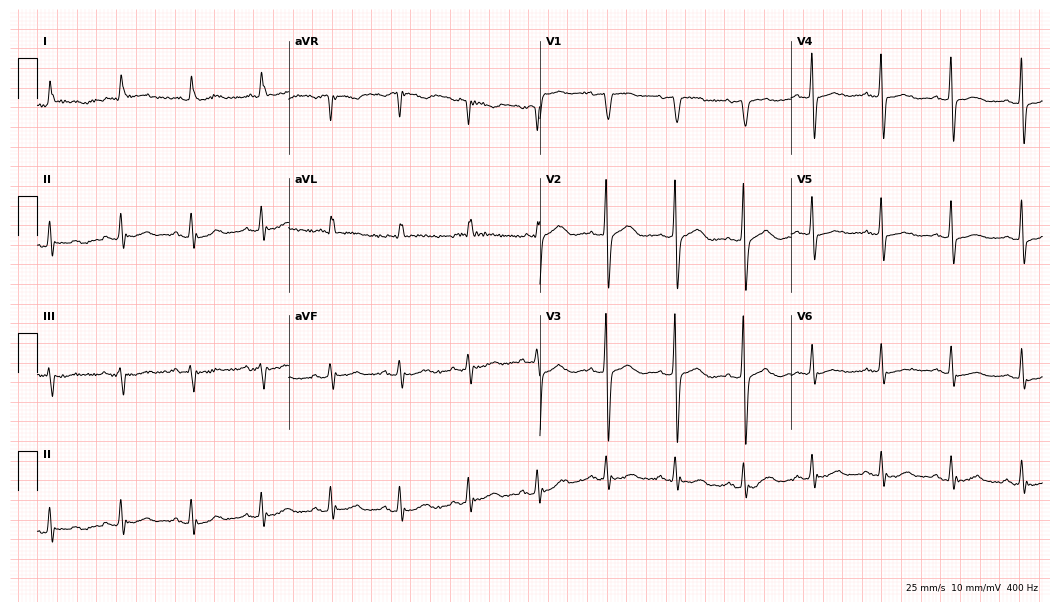
Electrocardiogram (10.2-second recording at 400 Hz), a 76-year-old female patient. Overall reading on record: normal ECG.